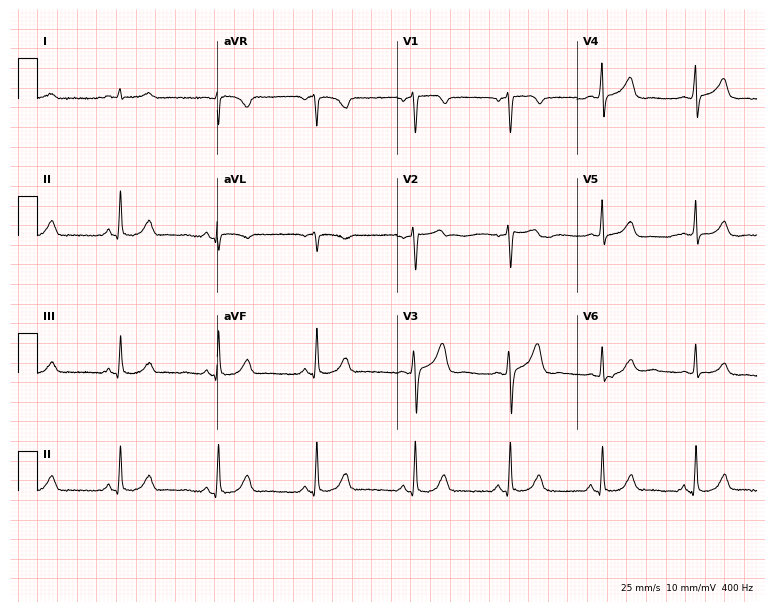
12-lead ECG from a male, 66 years old. Recorded interpretation: within normal limits.